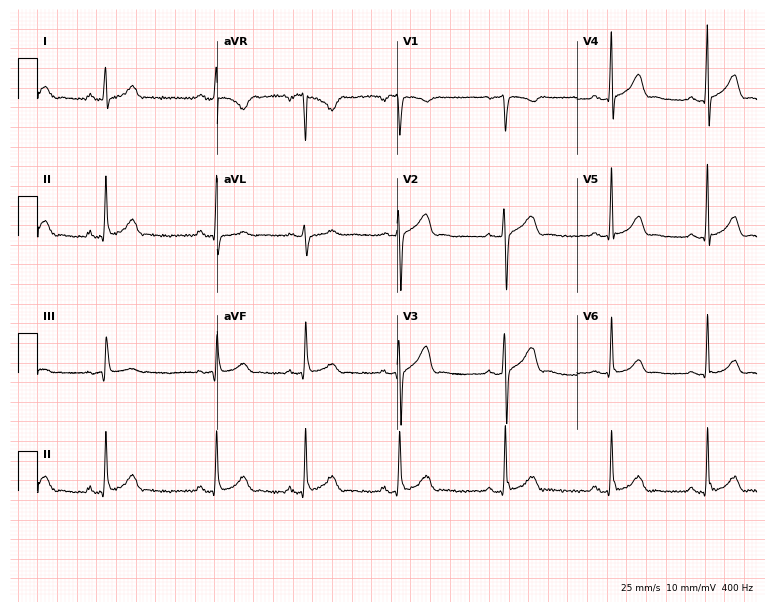
Resting 12-lead electrocardiogram. Patient: a 23-year-old woman. None of these six findings is recorded: first-degree AV block, right bundle branch block, left bundle branch block, sinus bradycardia, atrial fibrillation, sinus tachycardia. Other findings, if any, are not listed.